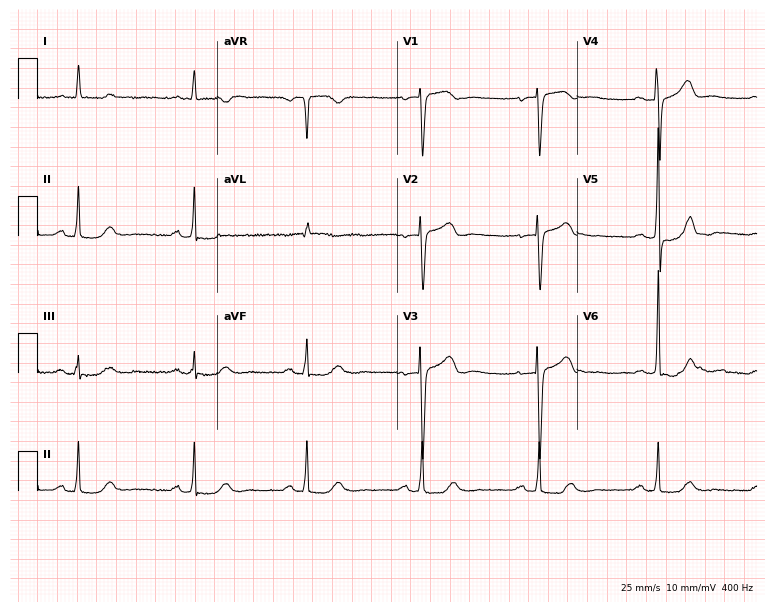
Resting 12-lead electrocardiogram. Patient: a 61-year-old female. The tracing shows first-degree AV block, sinus bradycardia (a sinus rate of 50 beats per minute or less).